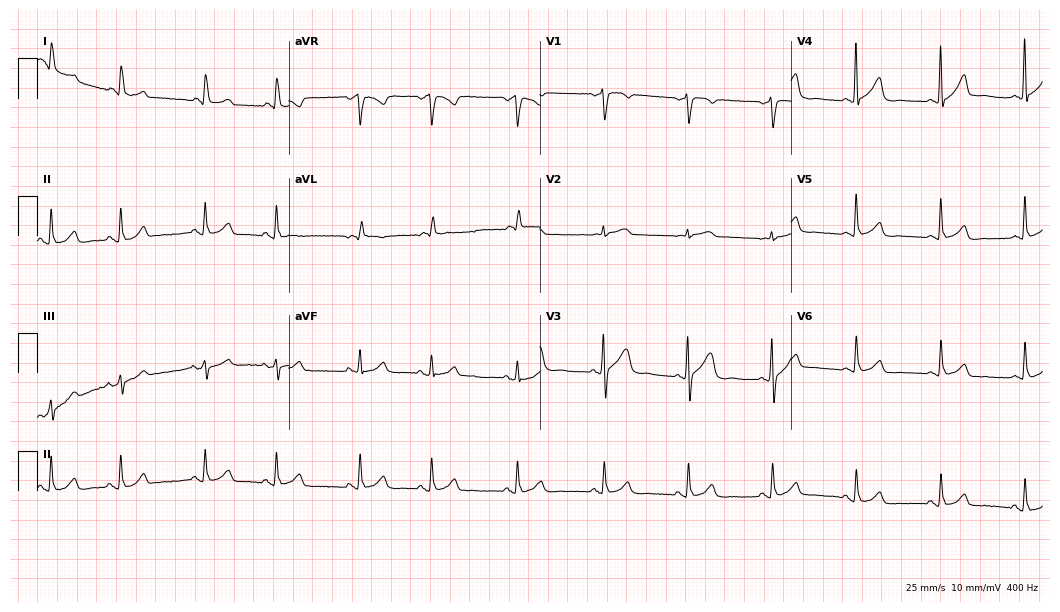
ECG — a 79-year-old woman. Labelled as a normal ECG.